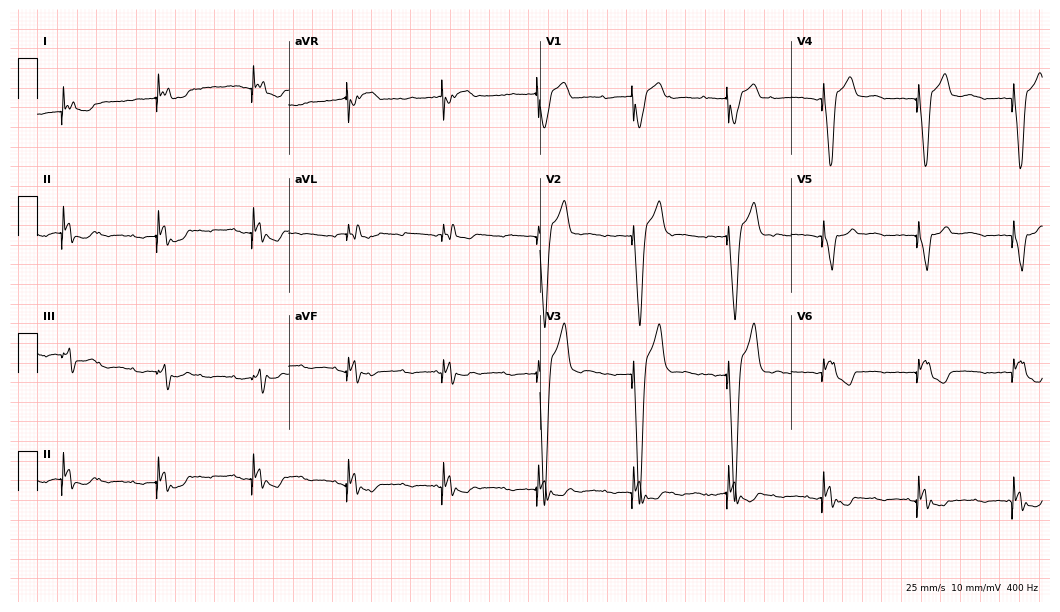
Standard 12-lead ECG recorded from a male patient, 84 years old. None of these six findings is recorded: first-degree AV block, right bundle branch block (RBBB), left bundle branch block (LBBB), sinus bradycardia, atrial fibrillation (AF), sinus tachycardia. Only these six findings were labelled.